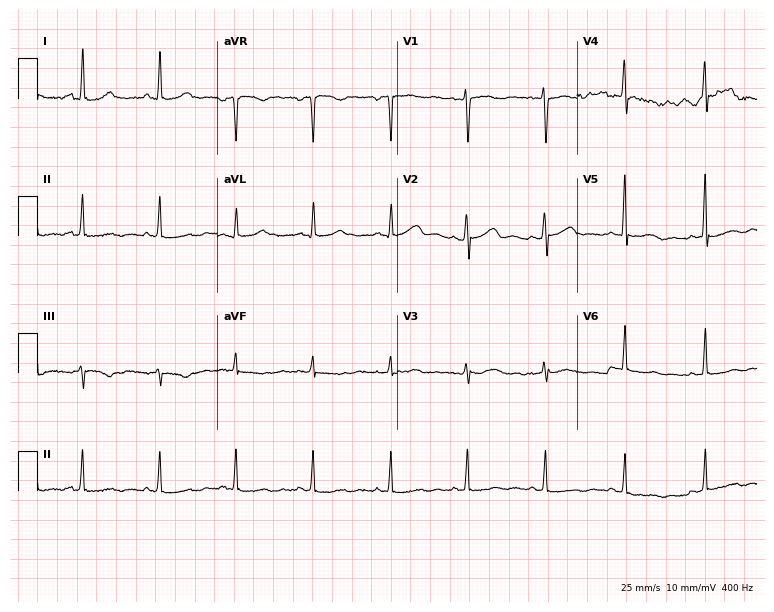
Resting 12-lead electrocardiogram (7.3-second recording at 400 Hz). Patient: a 40-year-old woman. None of these six findings is recorded: first-degree AV block, right bundle branch block, left bundle branch block, sinus bradycardia, atrial fibrillation, sinus tachycardia. Findings outside these six are not listed.